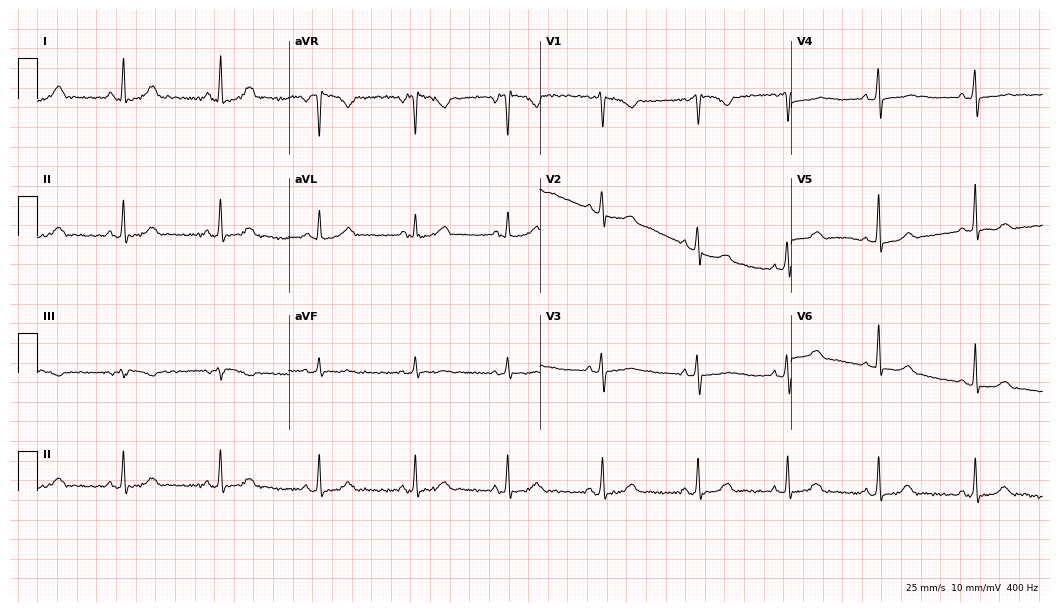
12-lead ECG from a 33-year-old female patient. No first-degree AV block, right bundle branch block, left bundle branch block, sinus bradycardia, atrial fibrillation or sinus tachycardia recorded for this tracing.